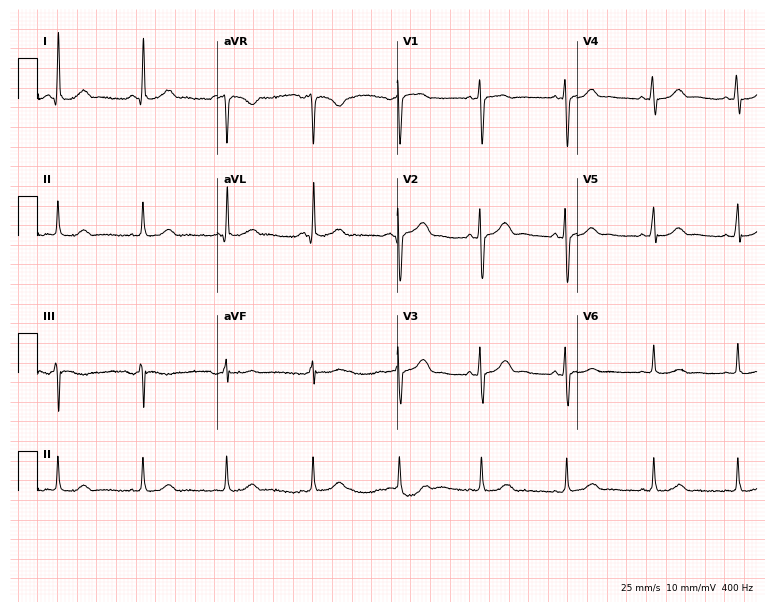
ECG (7.3-second recording at 400 Hz) — a female patient, 51 years old. Labelled as a normal ECG.